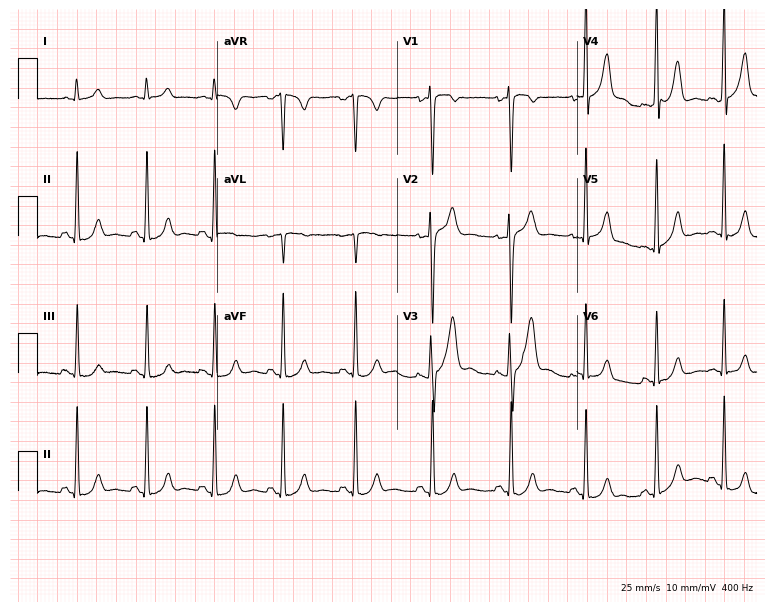
12-lead ECG (7.3-second recording at 400 Hz) from a male, 35 years old. Labelled as a normal ECG.